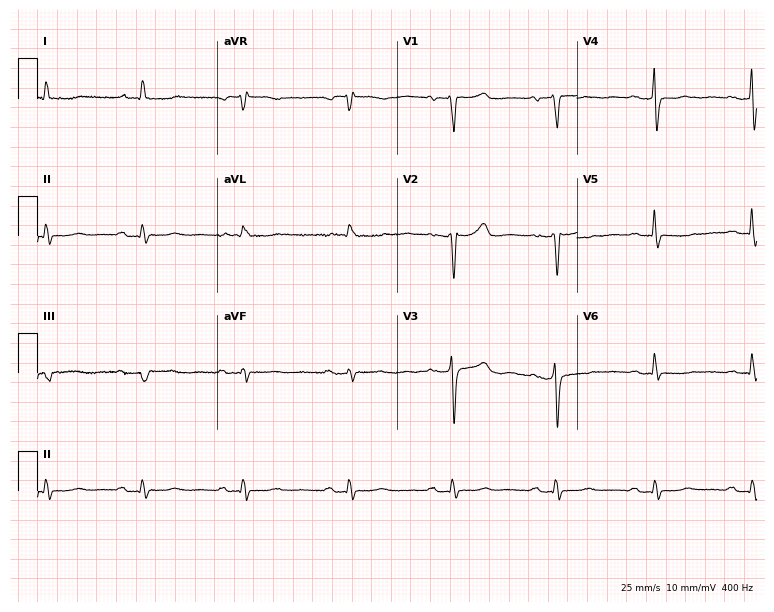
12-lead ECG (7.3-second recording at 400 Hz) from a female, 77 years old. Findings include first-degree AV block.